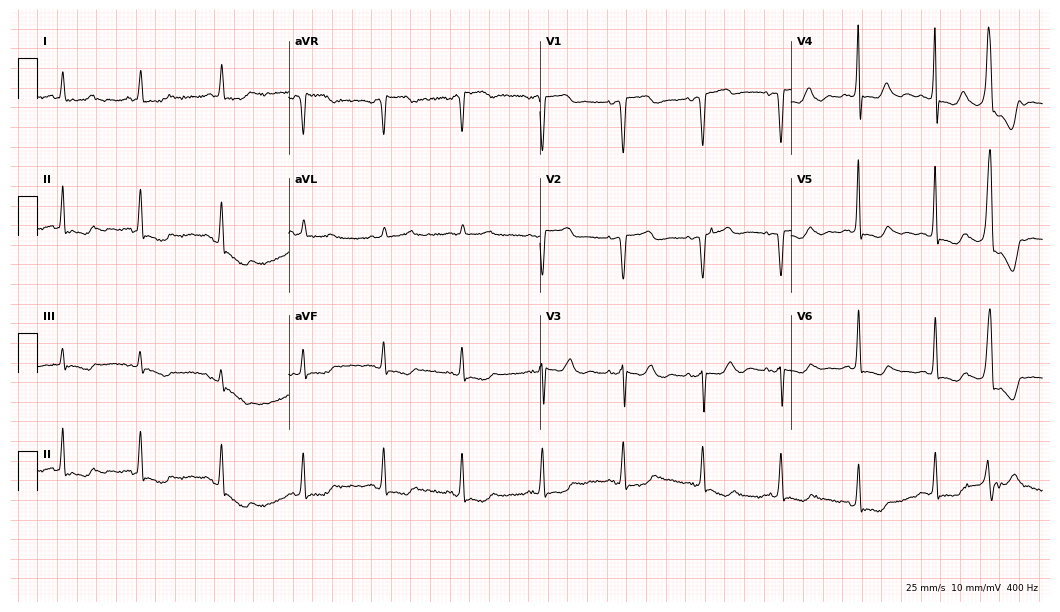
Standard 12-lead ECG recorded from a 71-year-old female patient. None of these six findings is recorded: first-degree AV block, right bundle branch block, left bundle branch block, sinus bradycardia, atrial fibrillation, sinus tachycardia.